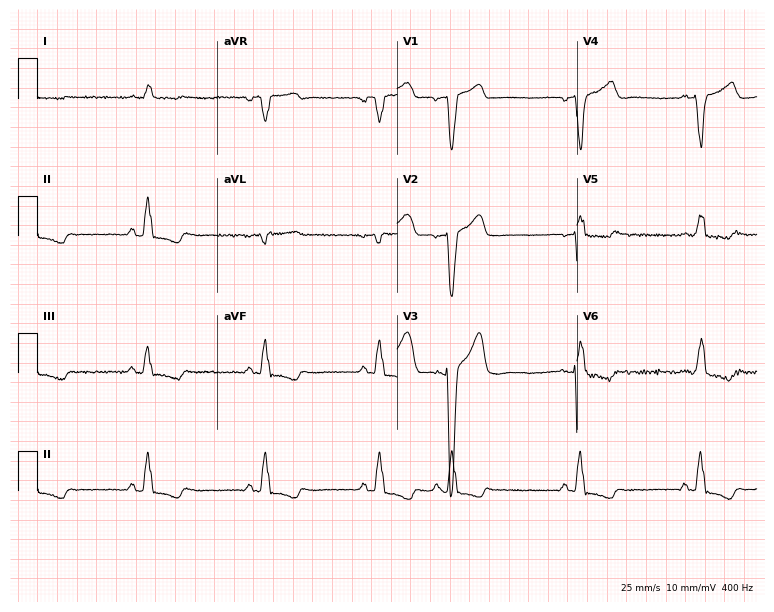
12-lead ECG from a 78-year-old male. Findings include left bundle branch block (LBBB).